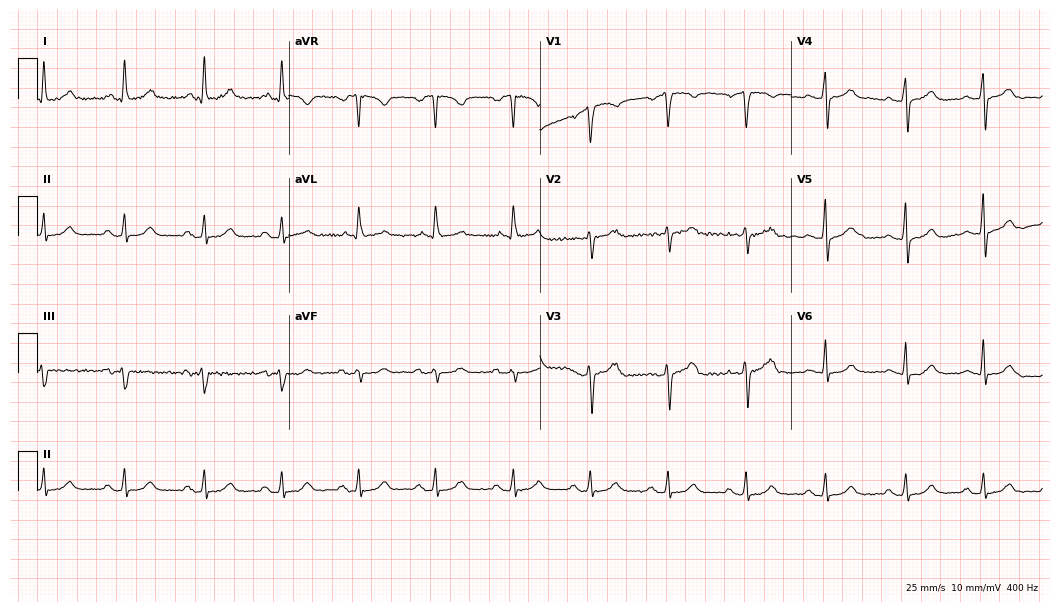
12-lead ECG from a 55-year-old female. Labelled as a normal ECG.